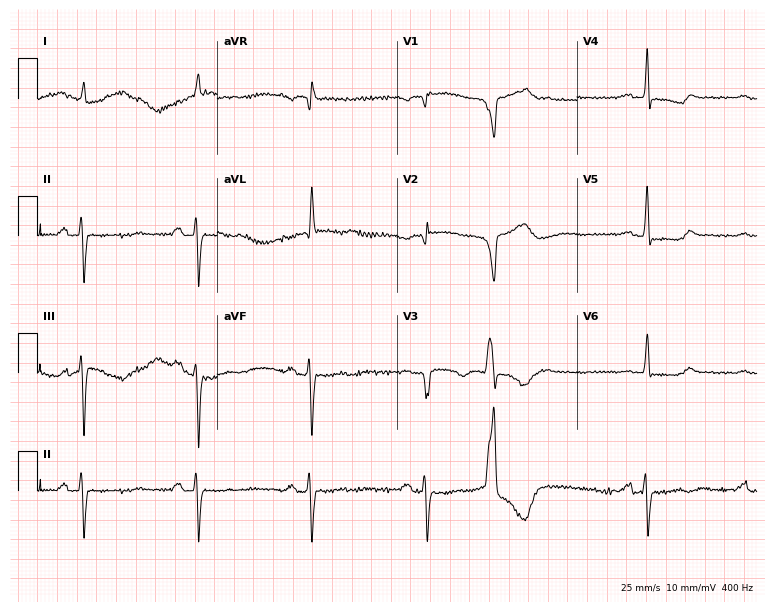
12-lead ECG from an 86-year-old man (7.3-second recording at 400 Hz). No first-degree AV block, right bundle branch block, left bundle branch block, sinus bradycardia, atrial fibrillation or sinus tachycardia recorded for this tracing. Other findings, if any, are not listed.